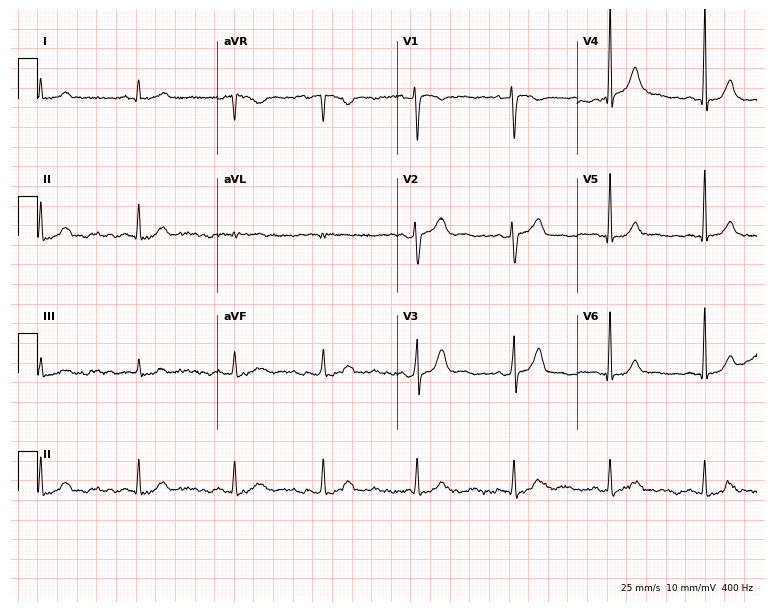
Resting 12-lead electrocardiogram. Patient: a 37-year-old male. Read as a normal ECG.